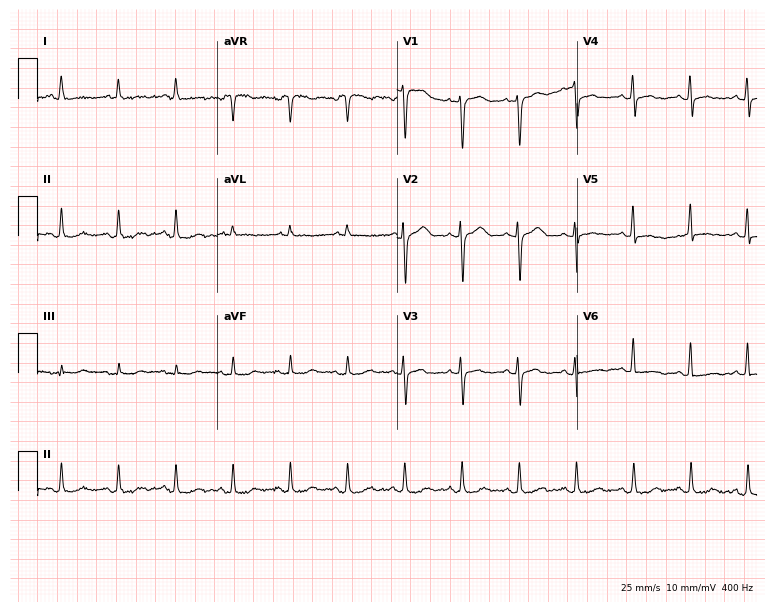
Resting 12-lead electrocardiogram (7.3-second recording at 400 Hz). Patient: a 49-year-old woman. The tracing shows sinus tachycardia (a sinus rate of 100 beats per minute or more).